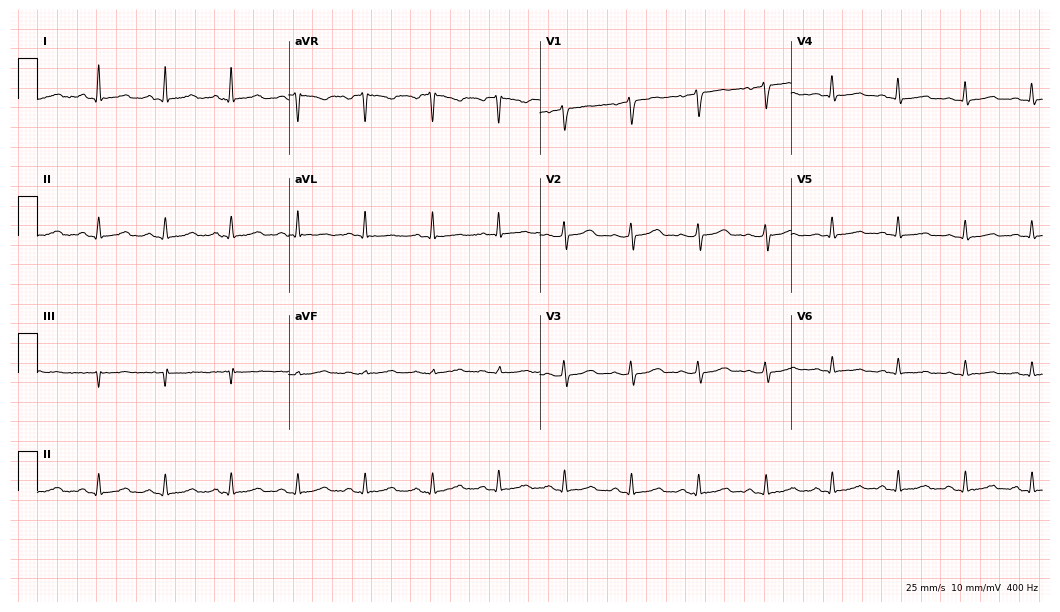
12-lead ECG from a female patient, 44 years old. Screened for six findings — first-degree AV block, right bundle branch block, left bundle branch block, sinus bradycardia, atrial fibrillation, sinus tachycardia — none is recorded.